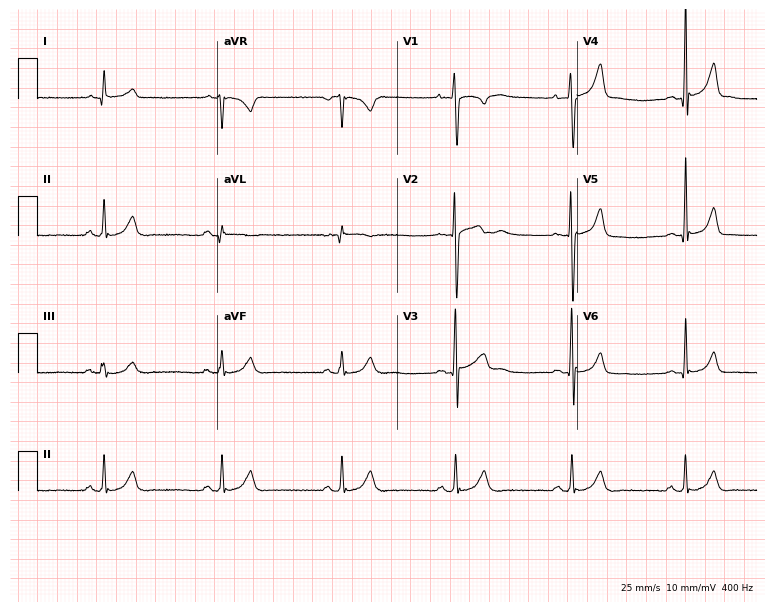
Electrocardiogram (7.3-second recording at 400 Hz), a 21-year-old male patient. Overall reading on record: normal ECG.